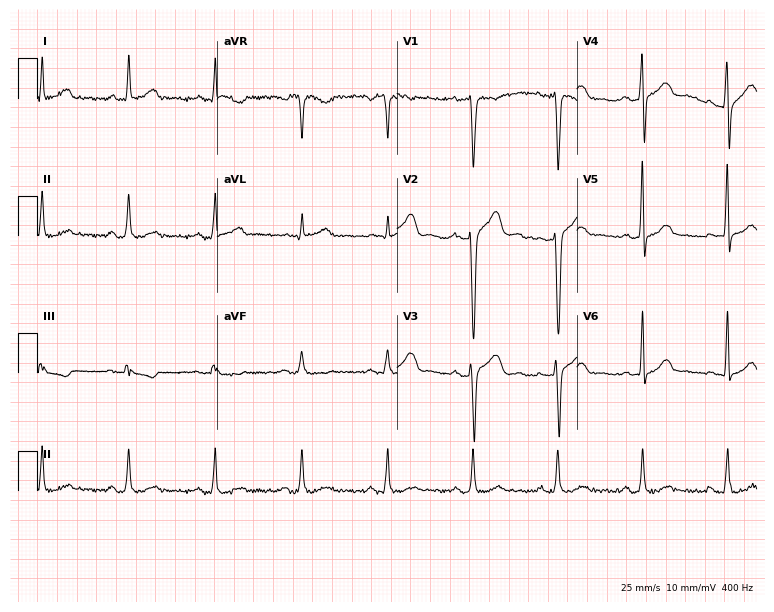
12-lead ECG from a 46-year-old male patient (7.3-second recording at 400 Hz). Recorded interpretation: within normal limits.